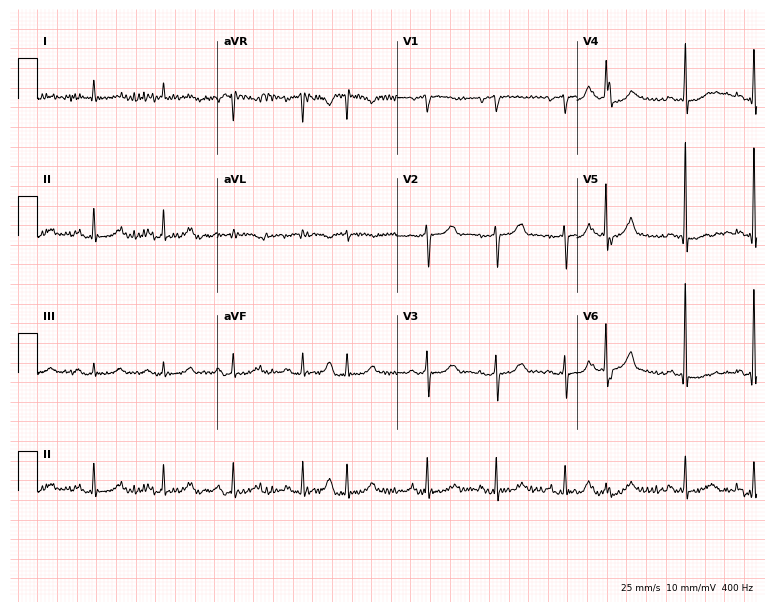
12-lead ECG from an 81-year-old female patient (7.3-second recording at 400 Hz). No first-degree AV block, right bundle branch block, left bundle branch block, sinus bradycardia, atrial fibrillation or sinus tachycardia recorded for this tracing.